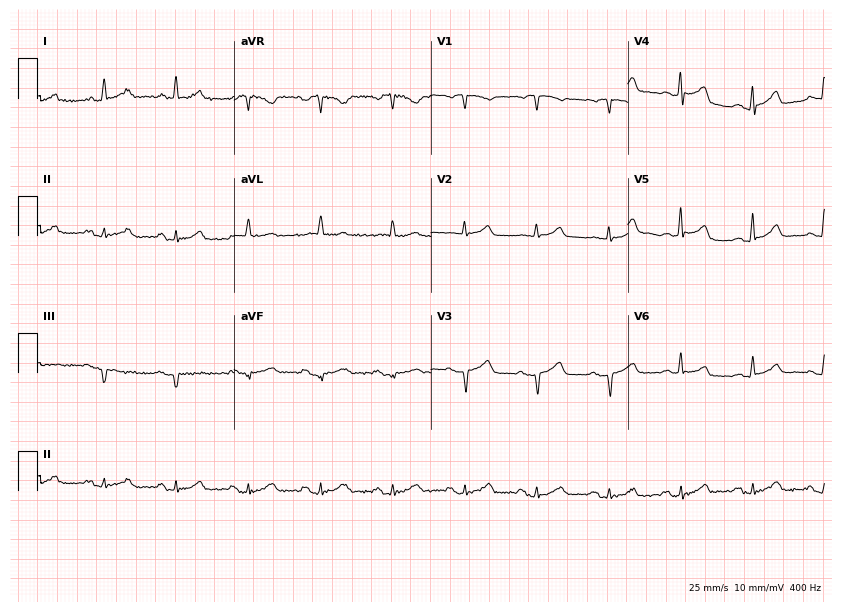
Electrocardiogram (8-second recording at 400 Hz), a female, 80 years old. Overall reading on record: normal ECG.